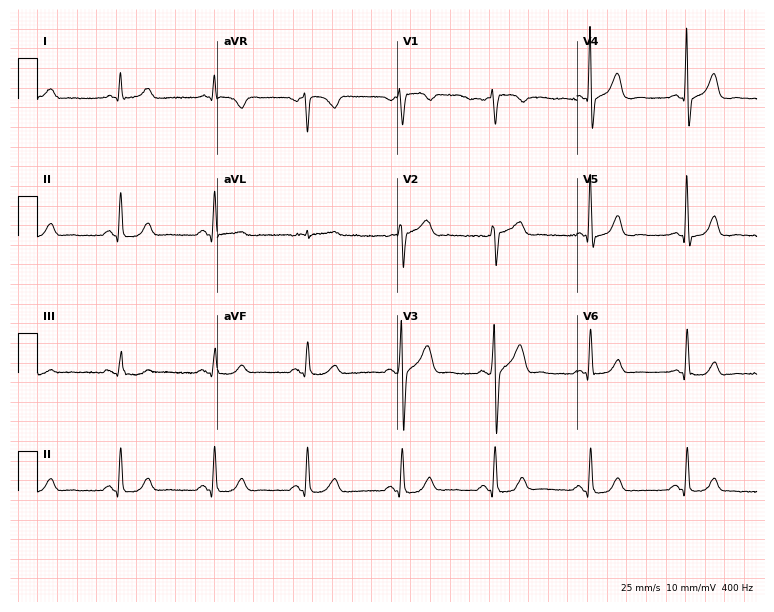
Resting 12-lead electrocardiogram (7.3-second recording at 400 Hz). Patient: a 55-year-old male. Read as a normal ECG.